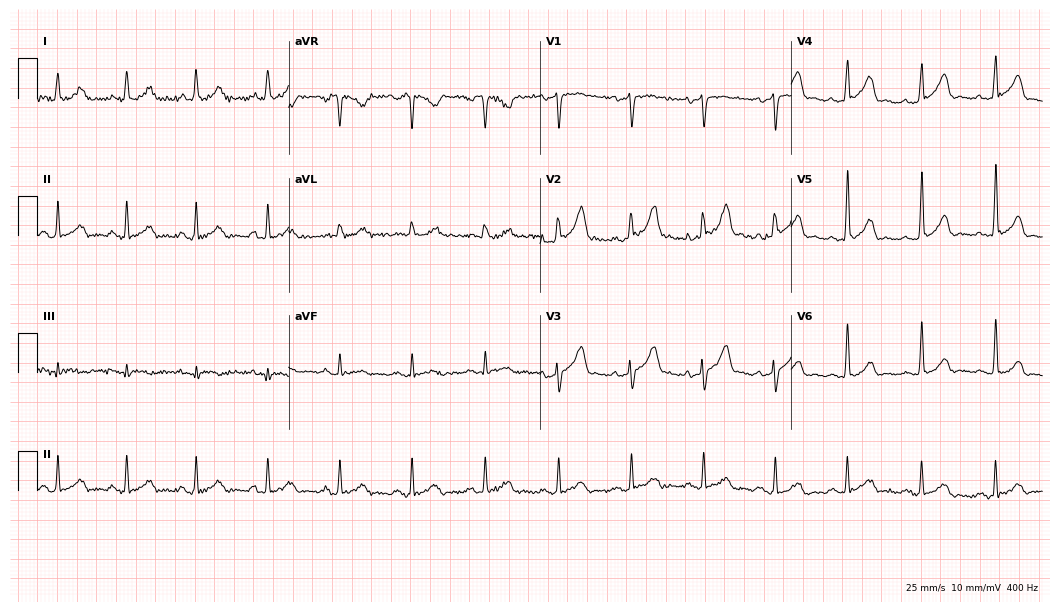
12-lead ECG from a 51-year-old male patient. Screened for six findings — first-degree AV block, right bundle branch block, left bundle branch block, sinus bradycardia, atrial fibrillation, sinus tachycardia — none is recorded.